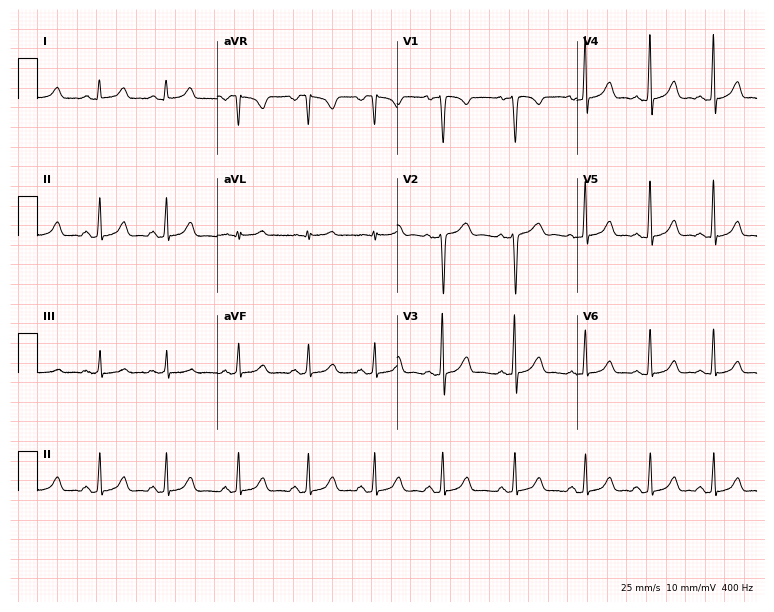
ECG (7.3-second recording at 400 Hz) — a 24-year-old female. Labelled as a normal ECG.